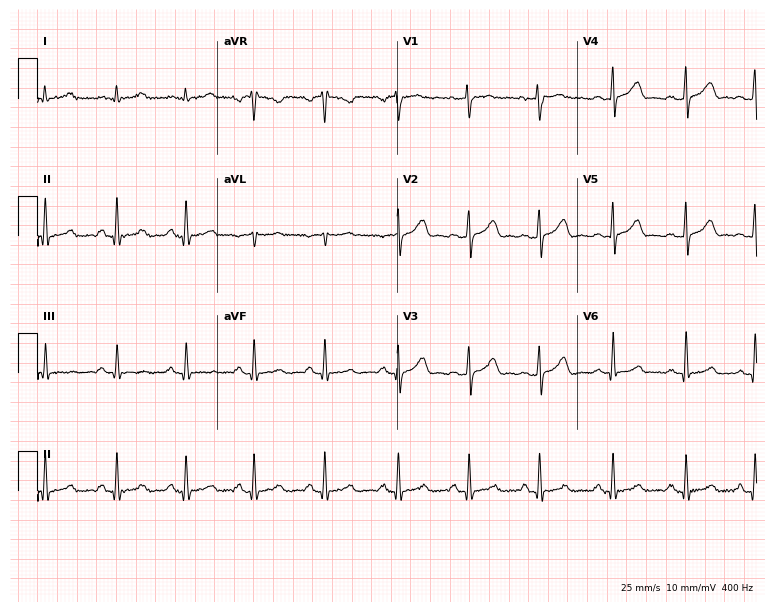
Electrocardiogram, a 34-year-old female patient. Of the six screened findings (first-degree AV block, right bundle branch block, left bundle branch block, sinus bradycardia, atrial fibrillation, sinus tachycardia), none is recorded. Findings outside these six are not listed.